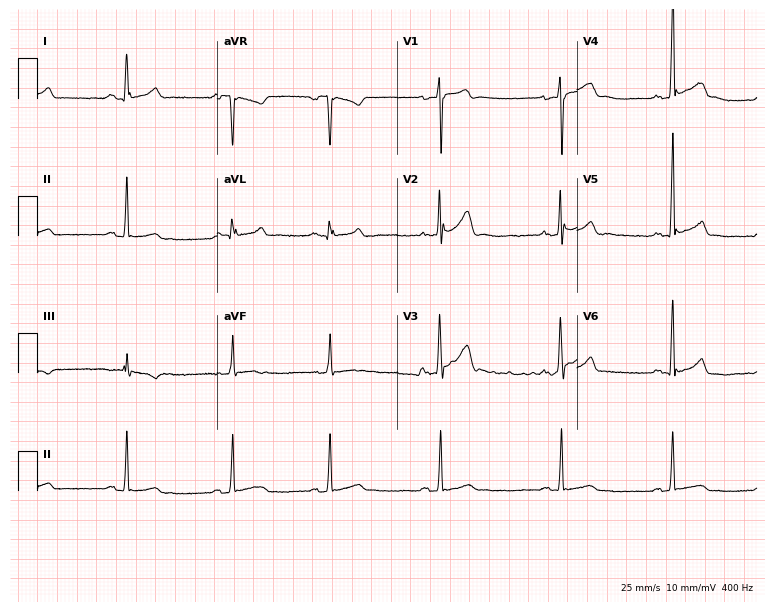
Electrocardiogram, a 31-year-old man. Overall reading on record: normal ECG.